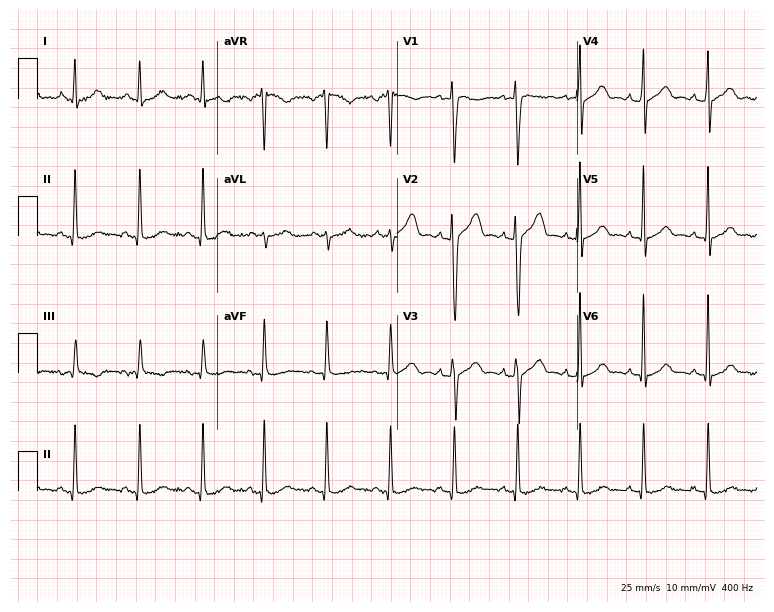
Resting 12-lead electrocardiogram (7.3-second recording at 400 Hz). Patient: a 24-year-old male. Read as a normal ECG.